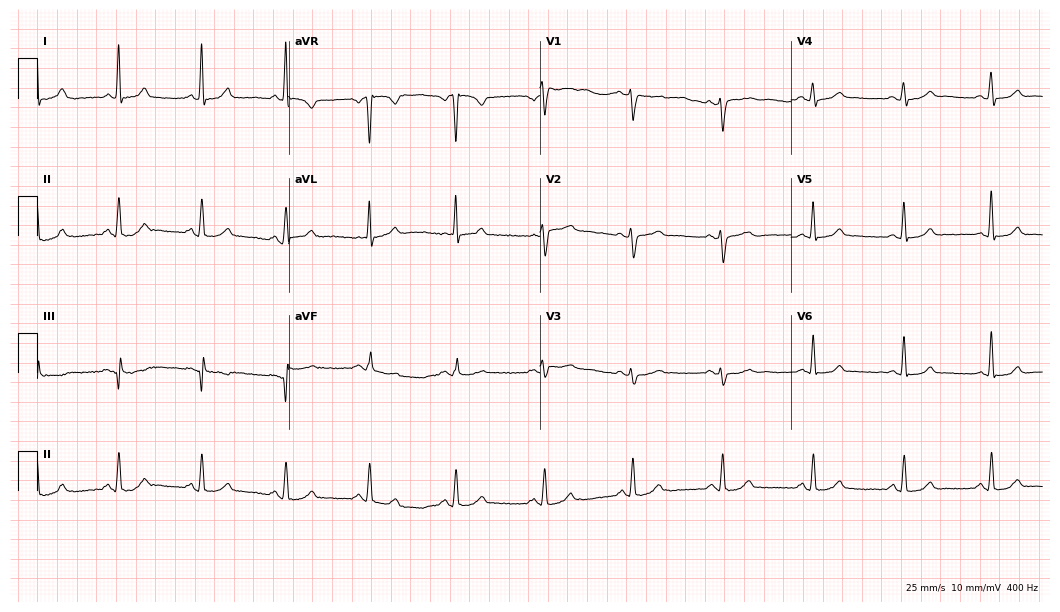
ECG — a female, 45 years old. Labelled as a normal ECG.